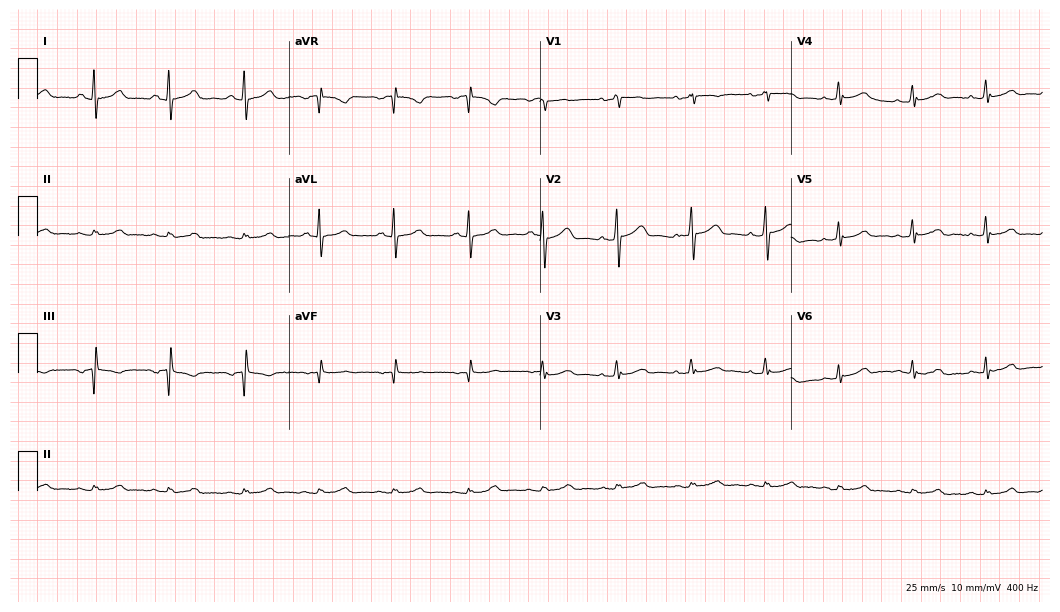
12-lead ECG from a 50-year-old female (10.2-second recording at 400 Hz). Recorded interpretation: within normal limits.